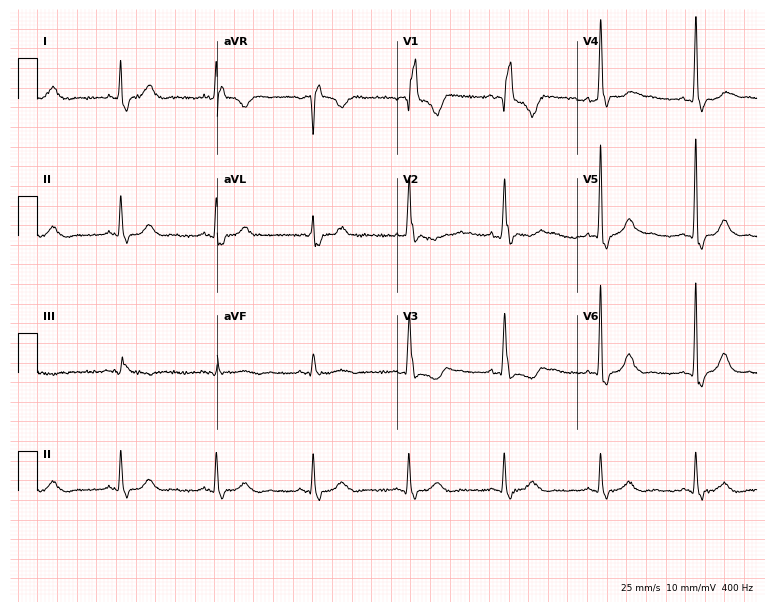
Standard 12-lead ECG recorded from a male, 68 years old (7.3-second recording at 400 Hz). The tracing shows right bundle branch block (RBBB).